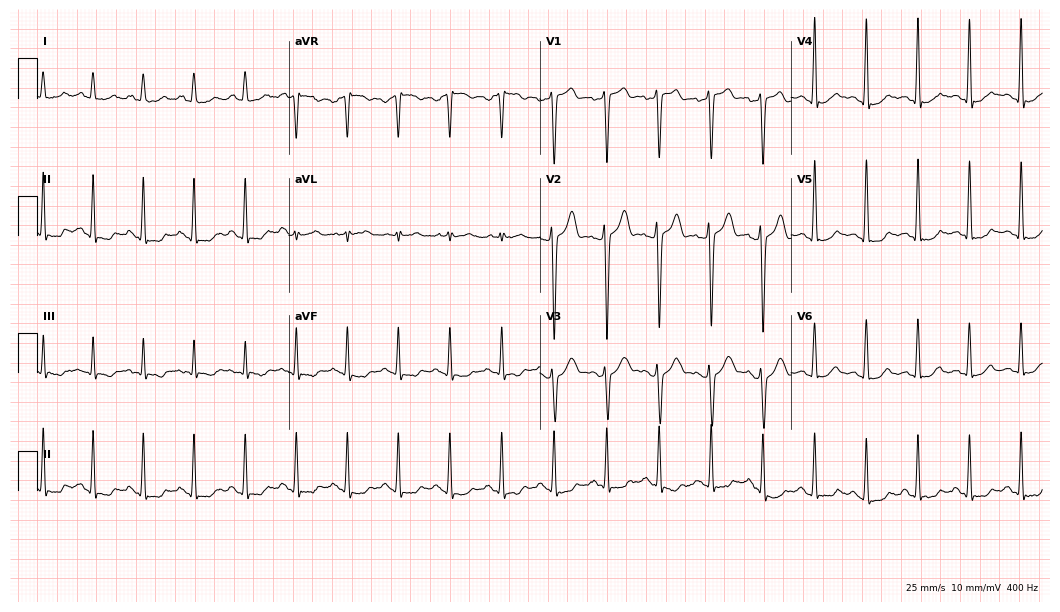
Standard 12-lead ECG recorded from a male, 35 years old (10.2-second recording at 400 Hz). The tracing shows sinus tachycardia (a sinus rate of 100 beats per minute or more).